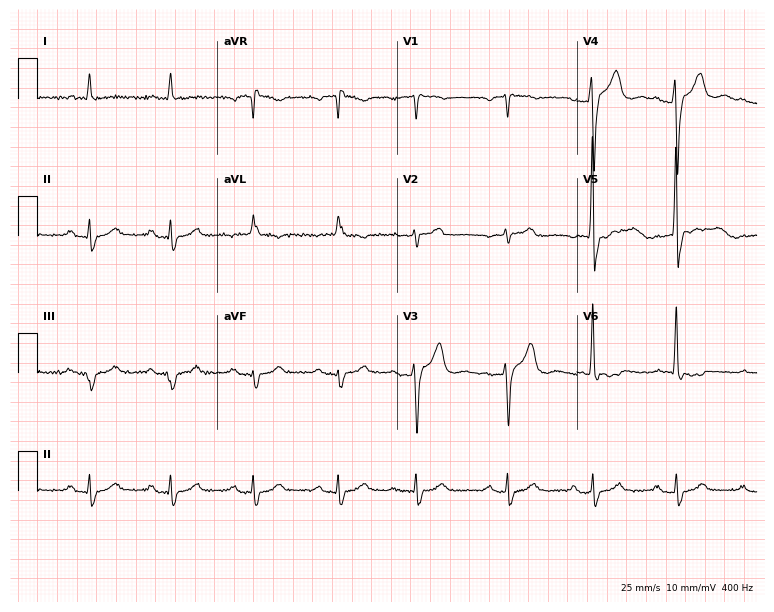
ECG (7.3-second recording at 400 Hz) — a 78-year-old male. Screened for six findings — first-degree AV block, right bundle branch block, left bundle branch block, sinus bradycardia, atrial fibrillation, sinus tachycardia — none is recorded.